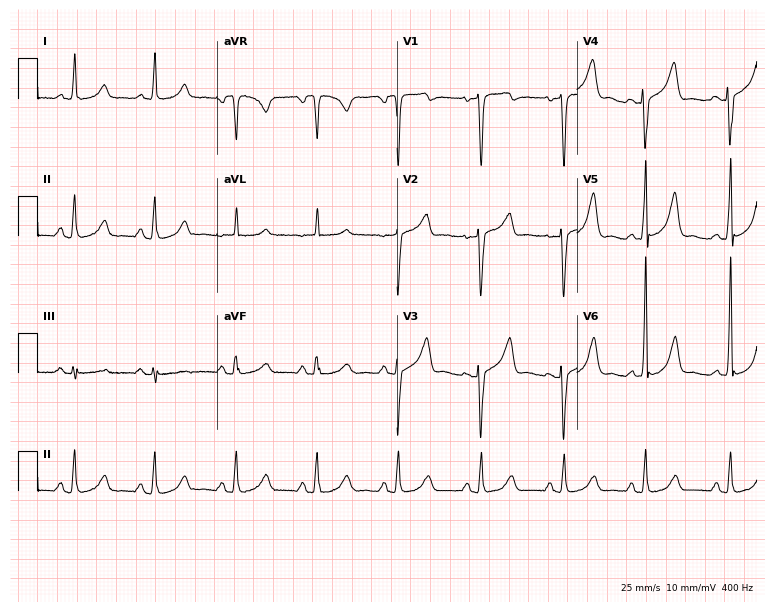
12-lead ECG from a woman, 57 years old. No first-degree AV block, right bundle branch block (RBBB), left bundle branch block (LBBB), sinus bradycardia, atrial fibrillation (AF) or sinus tachycardia recorded for this tracing. Other findings, if any, are not listed.